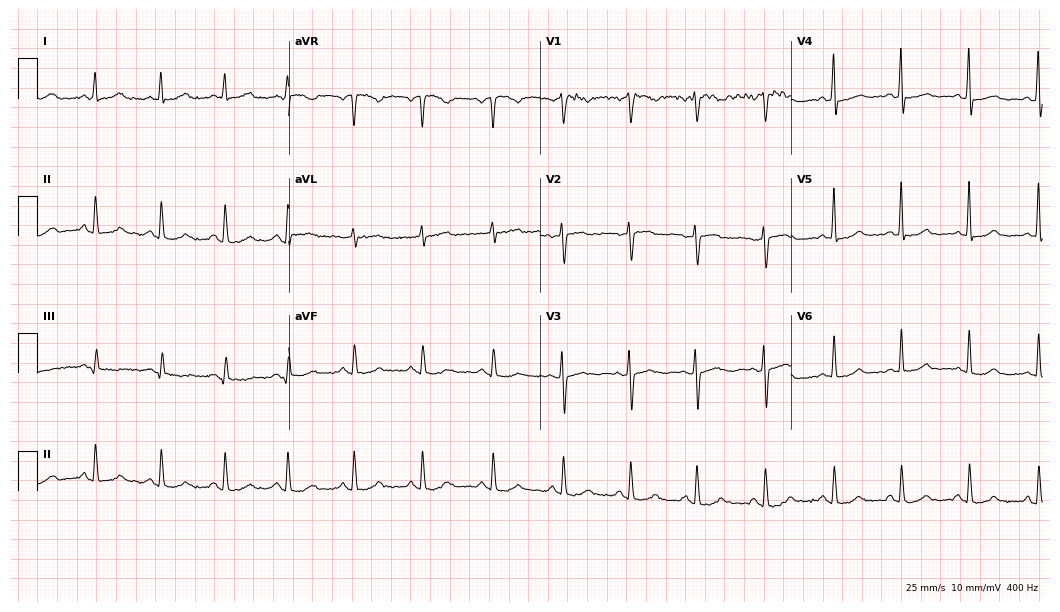
Standard 12-lead ECG recorded from a female, 38 years old (10.2-second recording at 400 Hz). None of these six findings is recorded: first-degree AV block, right bundle branch block (RBBB), left bundle branch block (LBBB), sinus bradycardia, atrial fibrillation (AF), sinus tachycardia.